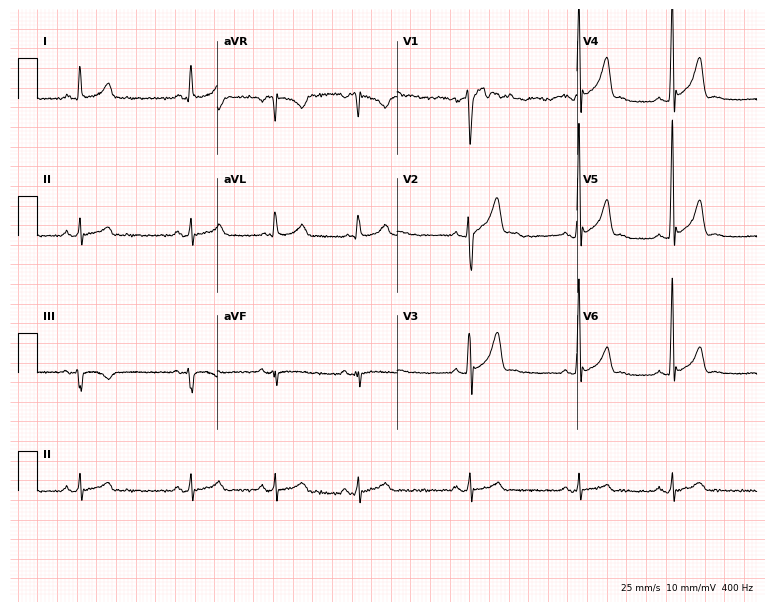
ECG (7.3-second recording at 400 Hz) — a male, 39 years old. Screened for six findings — first-degree AV block, right bundle branch block, left bundle branch block, sinus bradycardia, atrial fibrillation, sinus tachycardia — none is recorded.